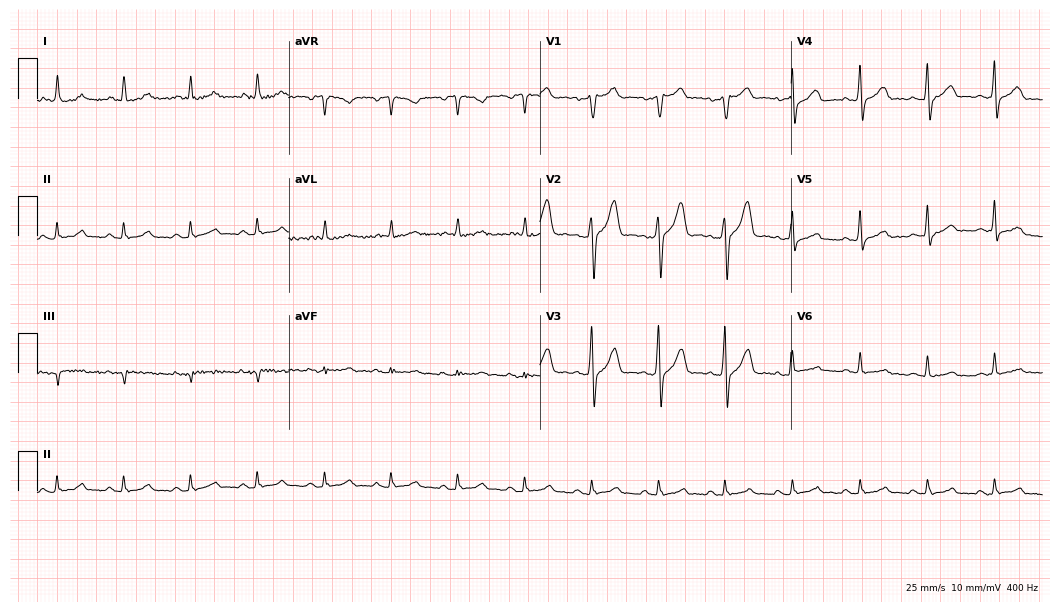
Standard 12-lead ECG recorded from a male, 55 years old (10.2-second recording at 400 Hz). Read as a normal ECG.